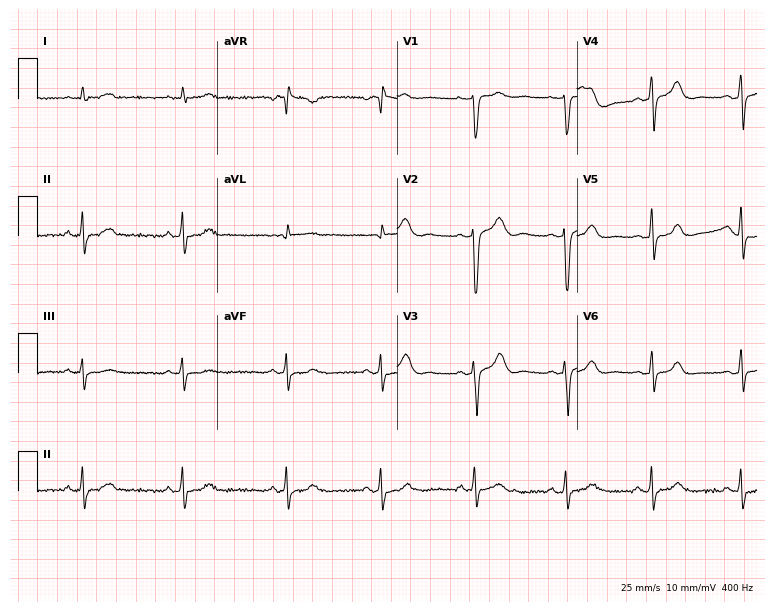
12-lead ECG from a female, 41 years old. Screened for six findings — first-degree AV block, right bundle branch block (RBBB), left bundle branch block (LBBB), sinus bradycardia, atrial fibrillation (AF), sinus tachycardia — none is recorded.